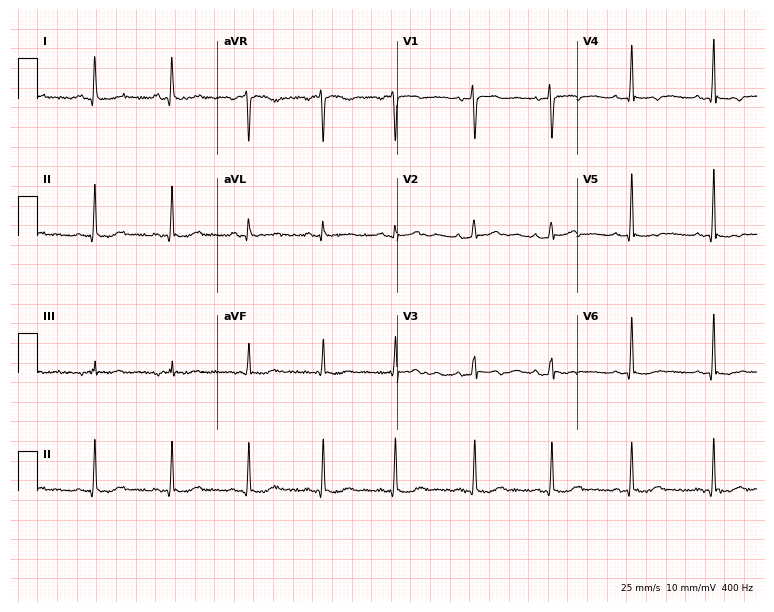
12-lead ECG from a woman, 47 years old. Screened for six findings — first-degree AV block, right bundle branch block, left bundle branch block, sinus bradycardia, atrial fibrillation, sinus tachycardia — none is recorded. Other findings, if any, are not listed.